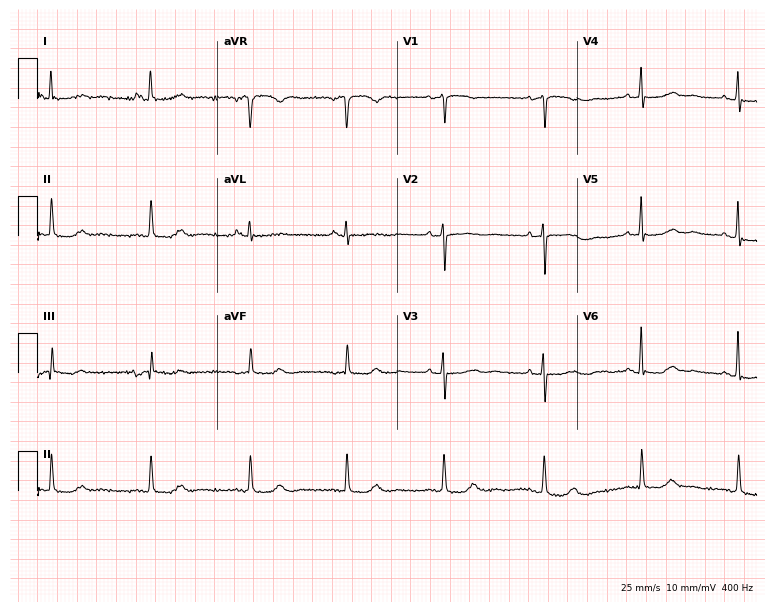
Standard 12-lead ECG recorded from a 75-year-old female patient. None of these six findings is recorded: first-degree AV block, right bundle branch block (RBBB), left bundle branch block (LBBB), sinus bradycardia, atrial fibrillation (AF), sinus tachycardia.